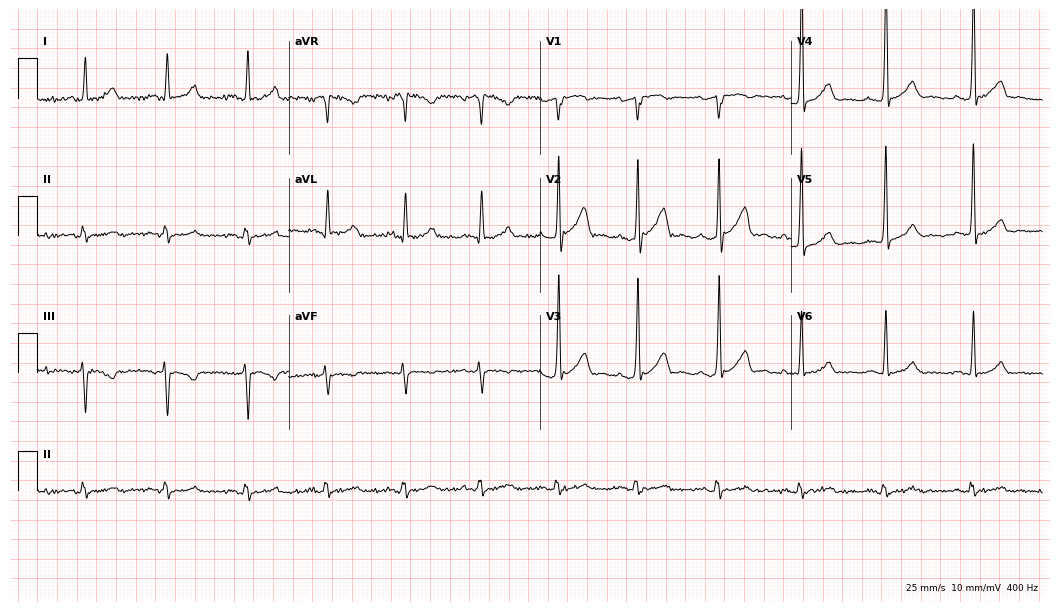
ECG — a 36-year-old man. Labelled as a normal ECG.